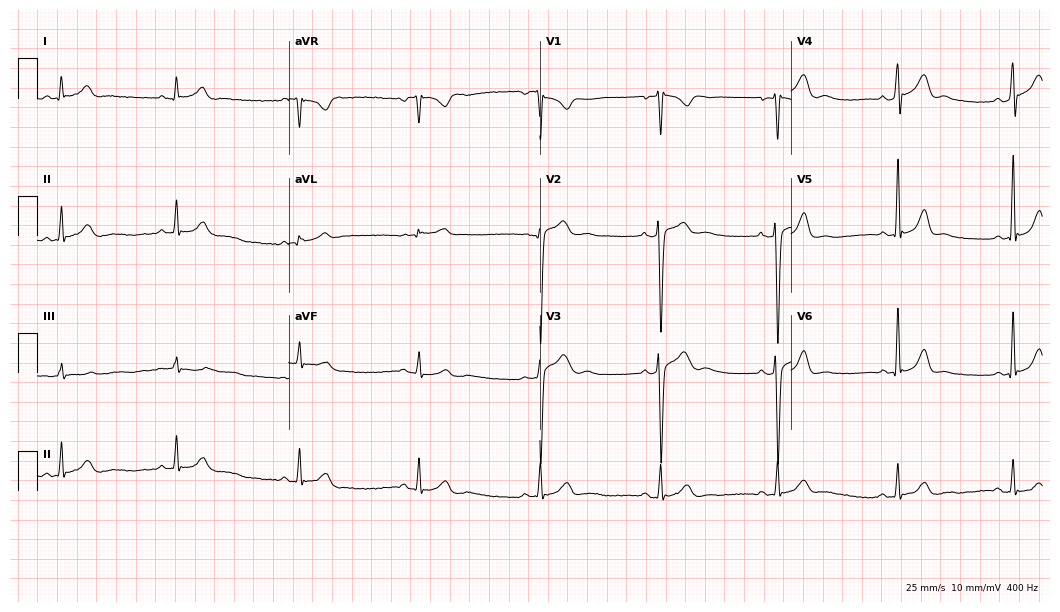
Standard 12-lead ECG recorded from a male, 40 years old (10.2-second recording at 400 Hz). None of these six findings is recorded: first-degree AV block, right bundle branch block, left bundle branch block, sinus bradycardia, atrial fibrillation, sinus tachycardia. Findings outside these six are not listed.